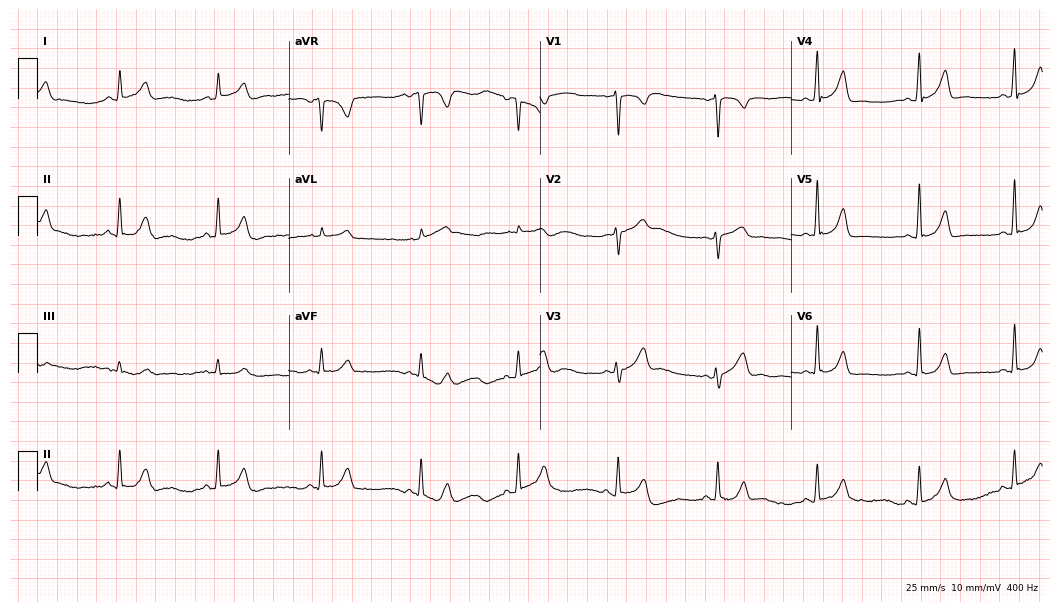
Resting 12-lead electrocardiogram. Patient: a 51-year-old male. Read as a normal ECG.